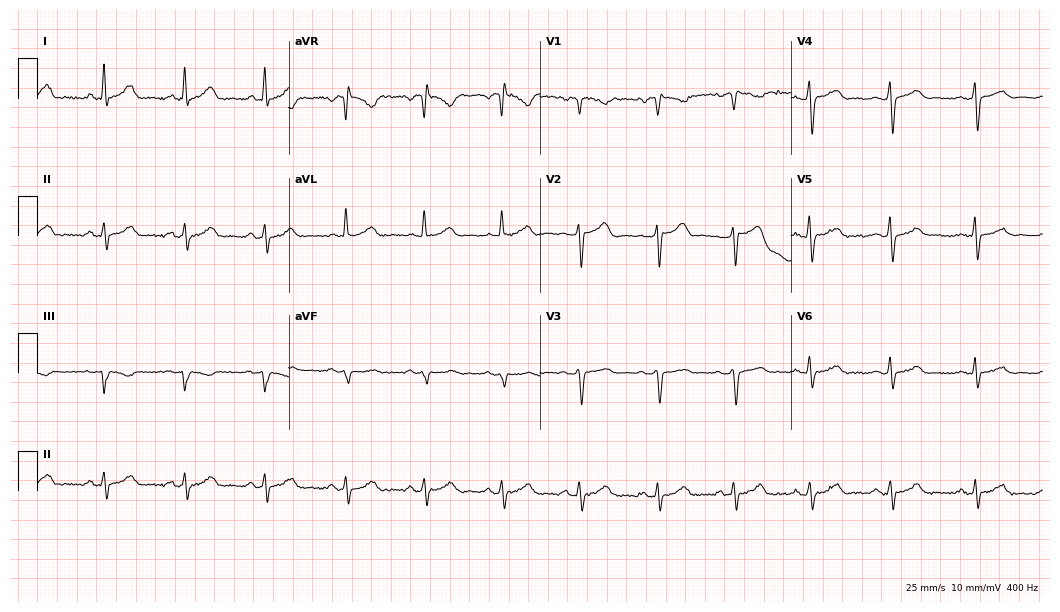
12-lead ECG from a female, 49 years old. Screened for six findings — first-degree AV block, right bundle branch block, left bundle branch block, sinus bradycardia, atrial fibrillation, sinus tachycardia — none is recorded. Other findings, if any, are not listed.